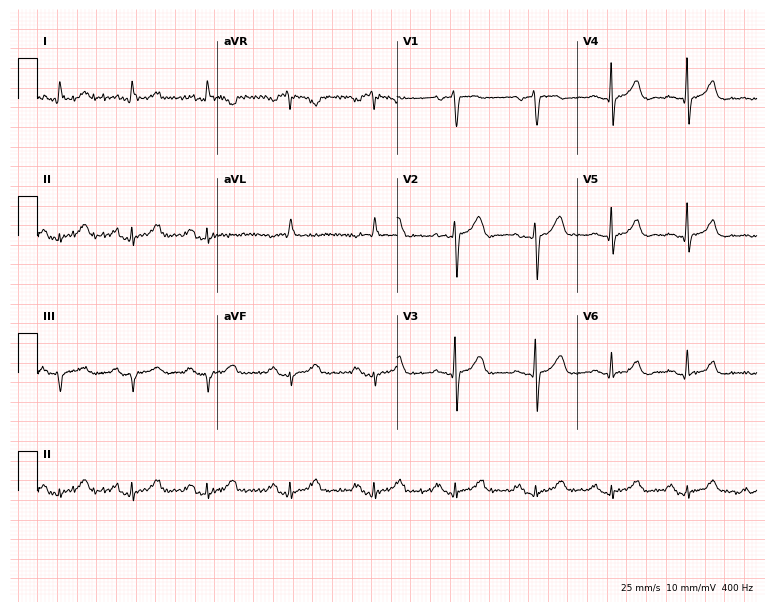
Resting 12-lead electrocardiogram (7.3-second recording at 400 Hz). Patient: a 49-year-old female. Read as a normal ECG.